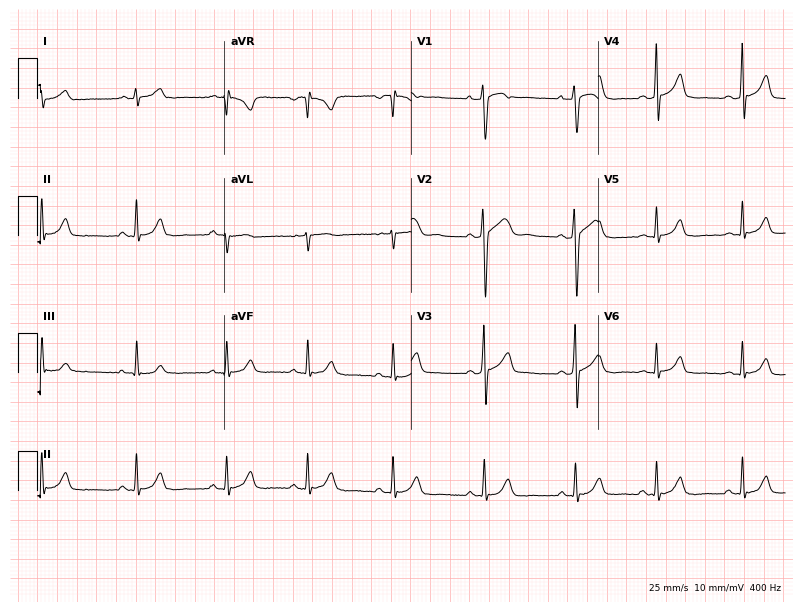
12-lead ECG from a male patient, 26 years old. Labelled as a normal ECG.